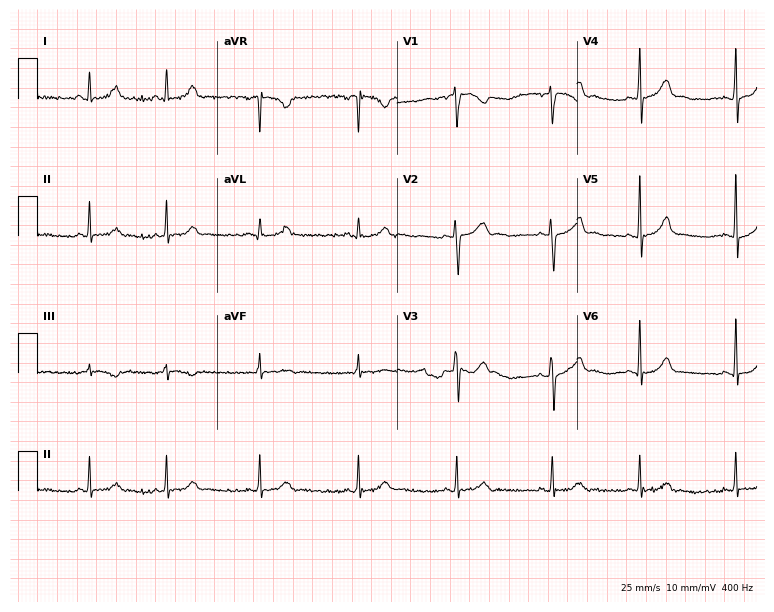
ECG (7.3-second recording at 400 Hz) — a female patient, 26 years old. Labelled as a normal ECG.